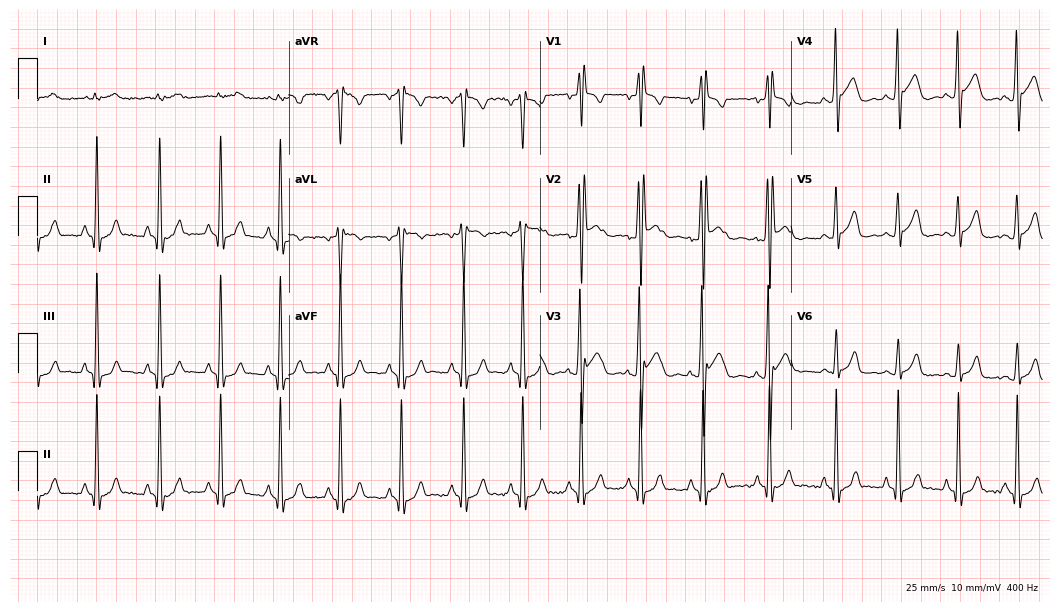
ECG (10.2-second recording at 400 Hz) — a male patient, 19 years old. Screened for six findings — first-degree AV block, right bundle branch block, left bundle branch block, sinus bradycardia, atrial fibrillation, sinus tachycardia — none is recorded. Findings outside these six are not listed.